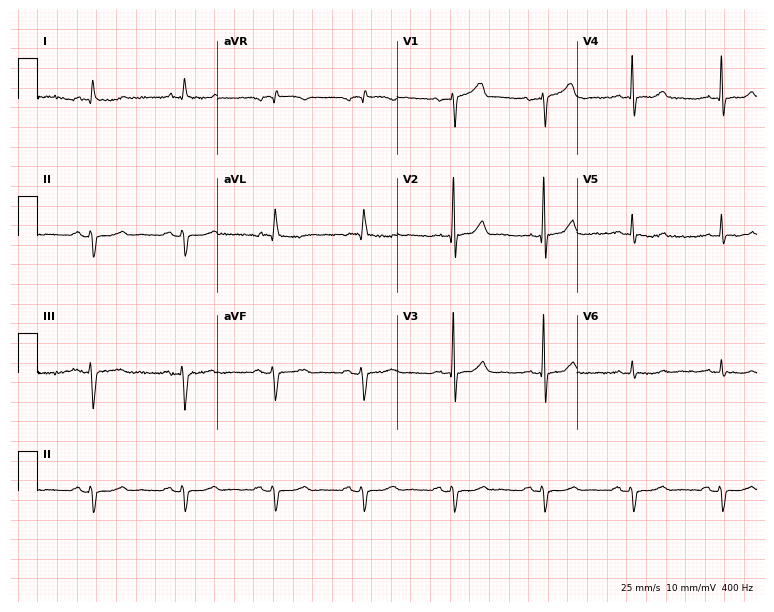
Resting 12-lead electrocardiogram. Patient: a 79-year-old male. None of these six findings is recorded: first-degree AV block, right bundle branch block (RBBB), left bundle branch block (LBBB), sinus bradycardia, atrial fibrillation (AF), sinus tachycardia. Other findings, if any, are not listed.